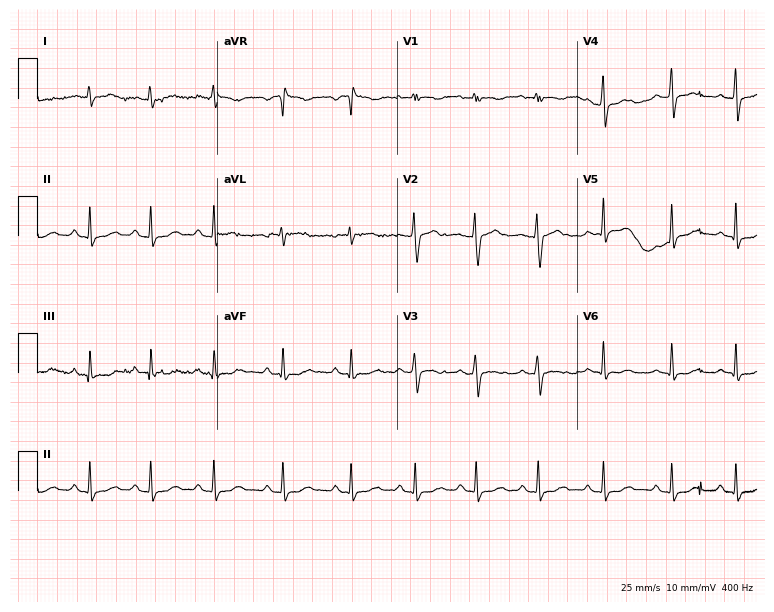
Standard 12-lead ECG recorded from a female, 28 years old. None of these six findings is recorded: first-degree AV block, right bundle branch block, left bundle branch block, sinus bradycardia, atrial fibrillation, sinus tachycardia.